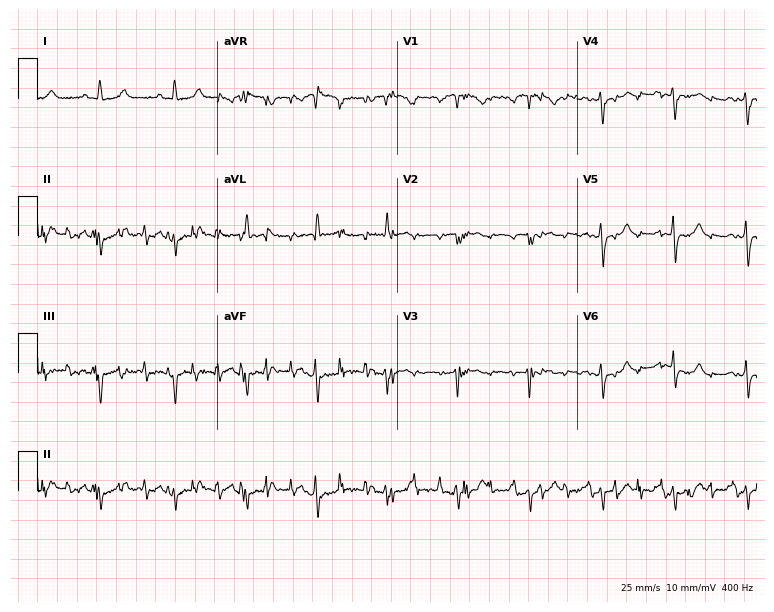
Resting 12-lead electrocardiogram (7.3-second recording at 400 Hz). Patient: a 74-year-old woman. None of these six findings is recorded: first-degree AV block, right bundle branch block, left bundle branch block, sinus bradycardia, atrial fibrillation, sinus tachycardia. Only these six findings were labelled.